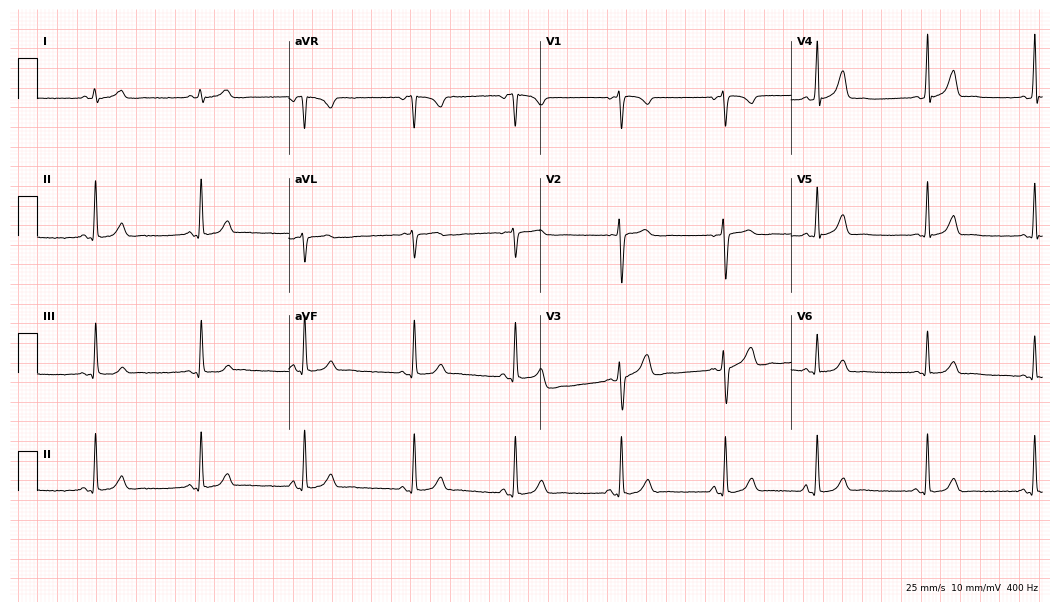
ECG (10.2-second recording at 400 Hz) — a 21-year-old woman. Labelled as a normal ECG.